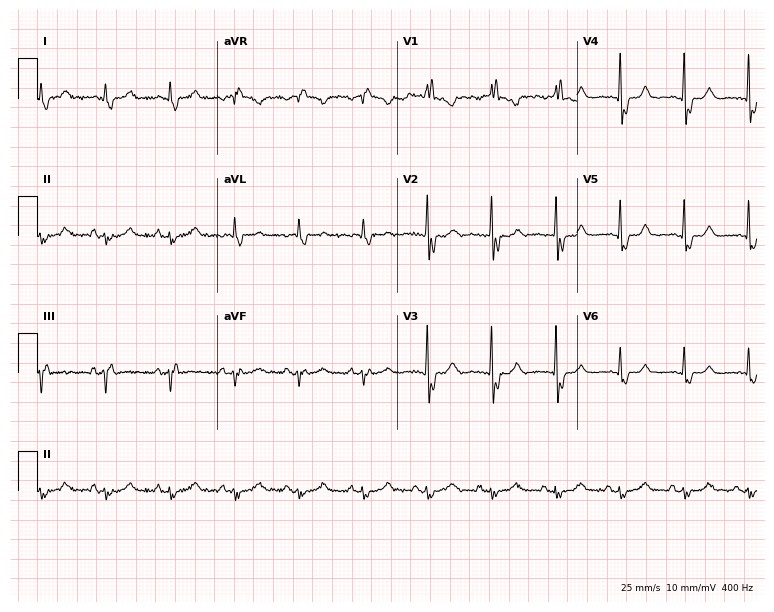
ECG (7.3-second recording at 400 Hz) — a woman, 77 years old. Findings include right bundle branch block.